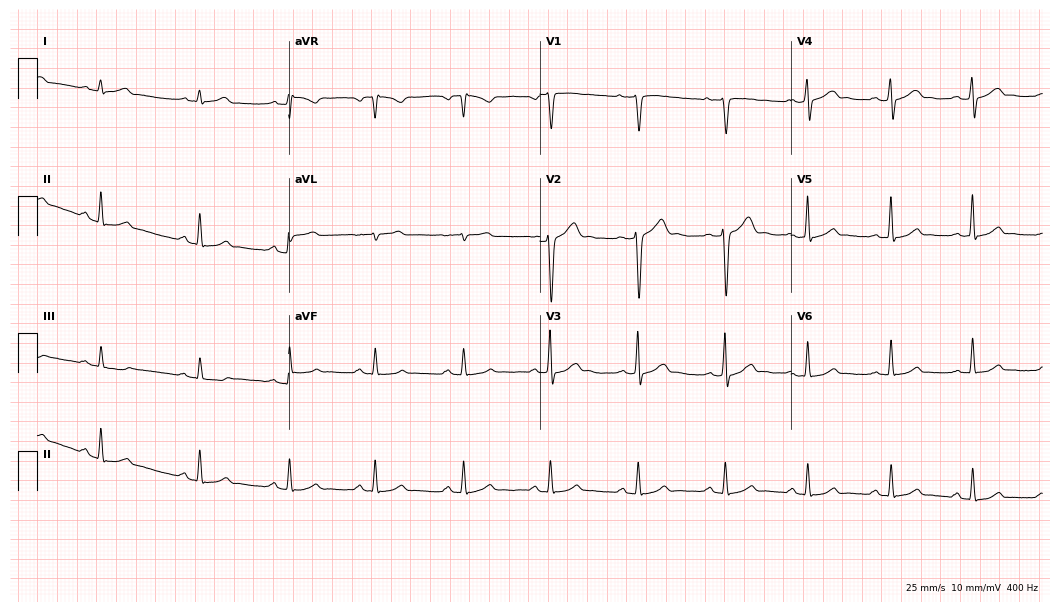
ECG — a 26-year-old man. Screened for six findings — first-degree AV block, right bundle branch block, left bundle branch block, sinus bradycardia, atrial fibrillation, sinus tachycardia — none is recorded.